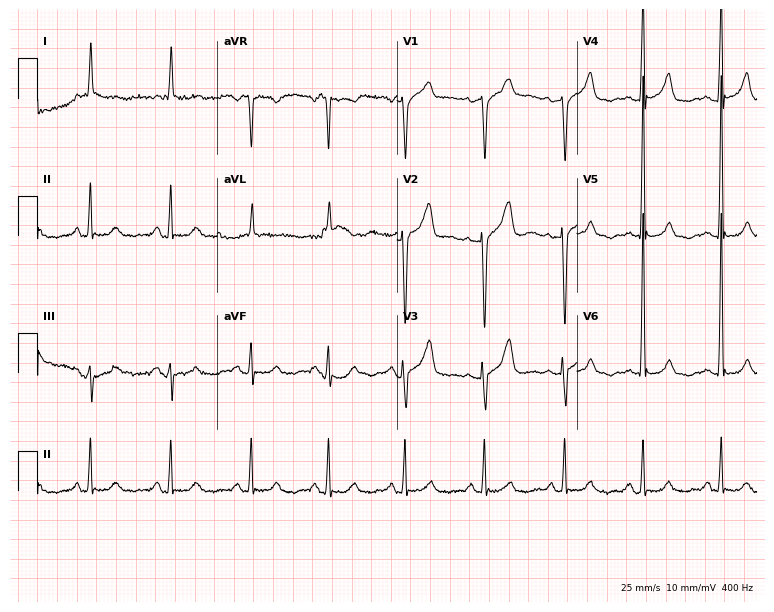
Standard 12-lead ECG recorded from a female, 80 years old. None of these six findings is recorded: first-degree AV block, right bundle branch block (RBBB), left bundle branch block (LBBB), sinus bradycardia, atrial fibrillation (AF), sinus tachycardia. Other findings, if any, are not listed.